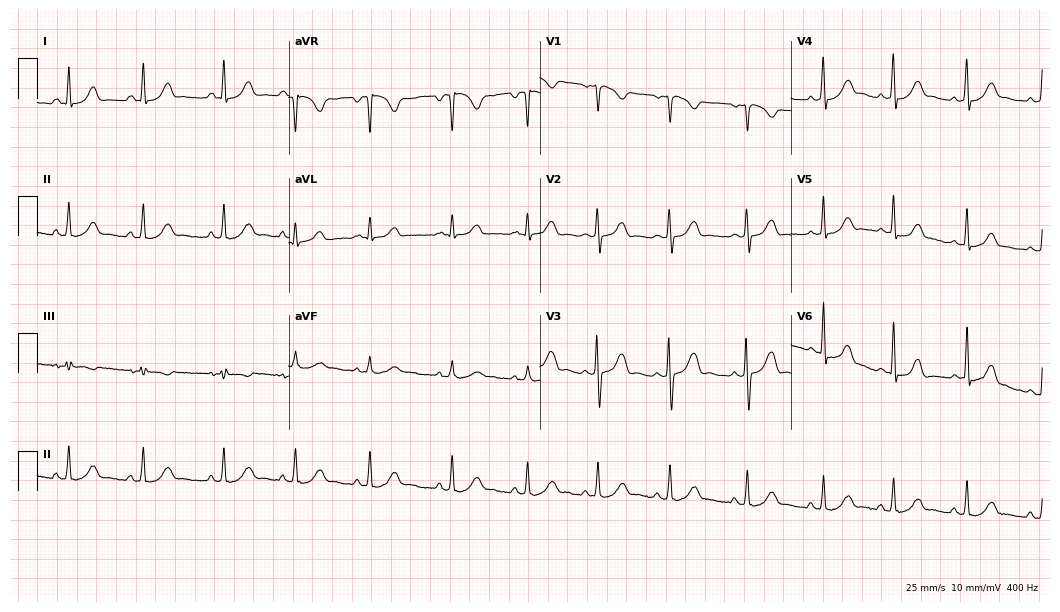
ECG — a 20-year-old female patient. Screened for six findings — first-degree AV block, right bundle branch block, left bundle branch block, sinus bradycardia, atrial fibrillation, sinus tachycardia — none is recorded.